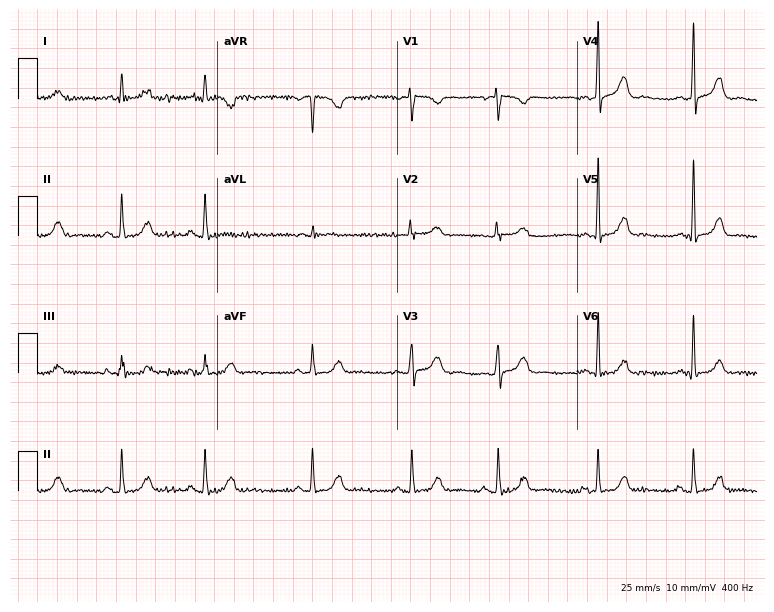
Standard 12-lead ECG recorded from a 31-year-old female (7.3-second recording at 400 Hz). None of these six findings is recorded: first-degree AV block, right bundle branch block, left bundle branch block, sinus bradycardia, atrial fibrillation, sinus tachycardia. Findings outside these six are not listed.